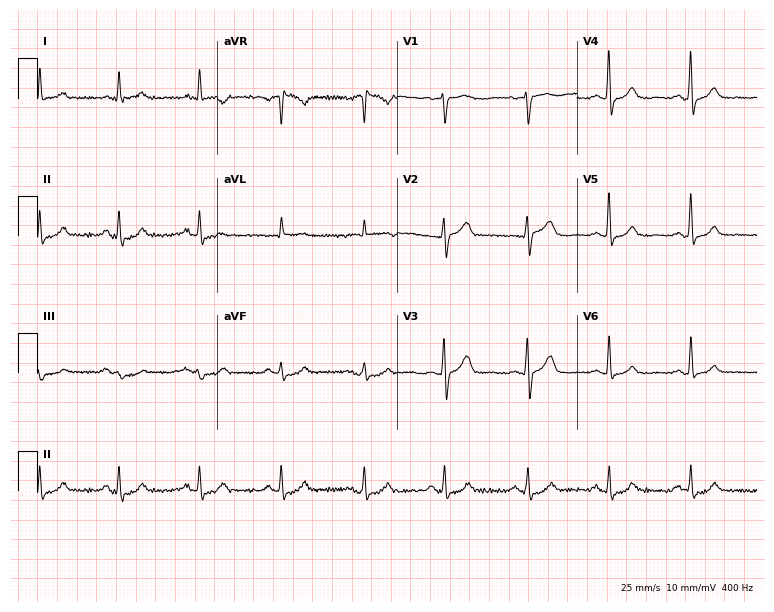
Standard 12-lead ECG recorded from a 68-year-old female patient. None of these six findings is recorded: first-degree AV block, right bundle branch block, left bundle branch block, sinus bradycardia, atrial fibrillation, sinus tachycardia.